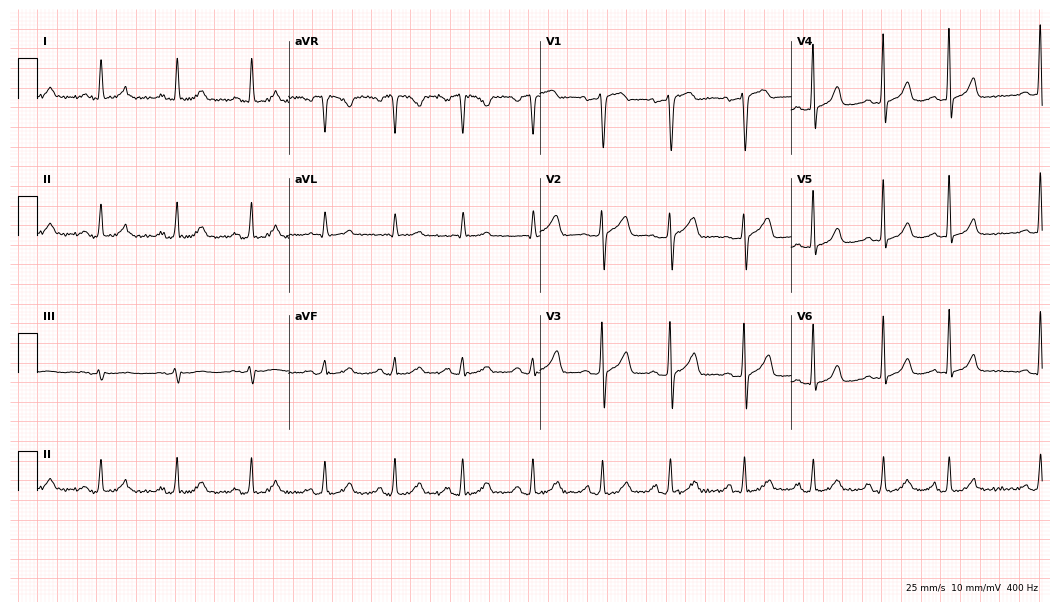
12-lead ECG from a 52-year-old female. Screened for six findings — first-degree AV block, right bundle branch block, left bundle branch block, sinus bradycardia, atrial fibrillation, sinus tachycardia — none is recorded. Other findings, if any, are not listed.